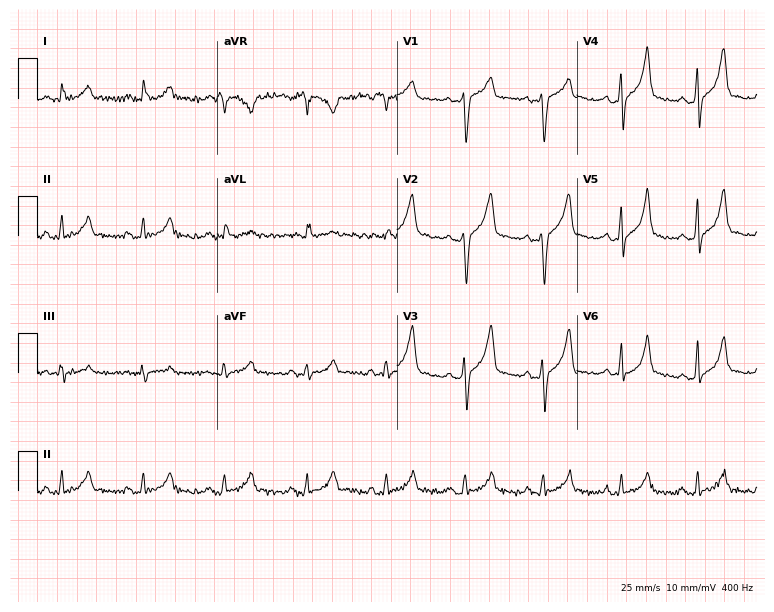
ECG — a 37-year-old male patient. Screened for six findings — first-degree AV block, right bundle branch block (RBBB), left bundle branch block (LBBB), sinus bradycardia, atrial fibrillation (AF), sinus tachycardia — none is recorded. Other findings, if any, are not listed.